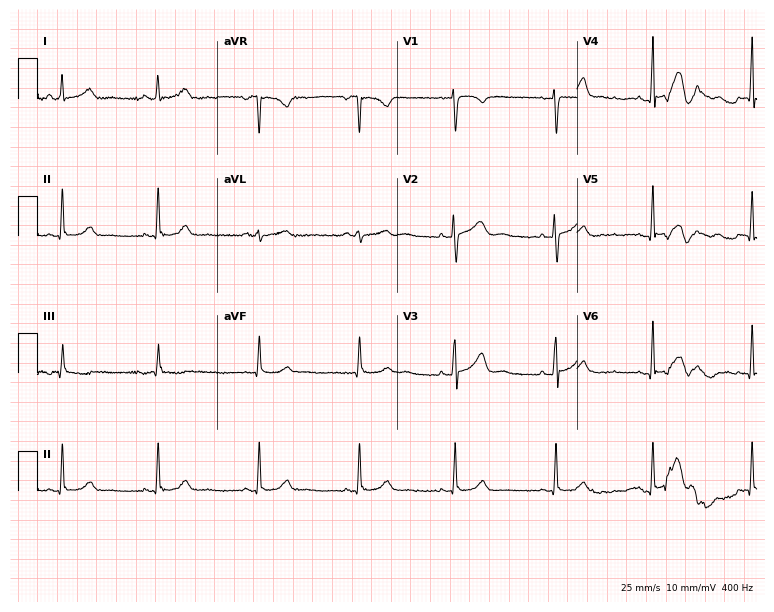
12-lead ECG from a 30-year-old woman (7.3-second recording at 400 Hz). No first-degree AV block, right bundle branch block, left bundle branch block, sinus bradycardia, atrial fibrillation or sinus tachycardia recorded for this tracing. Findings outside these six are not listed.